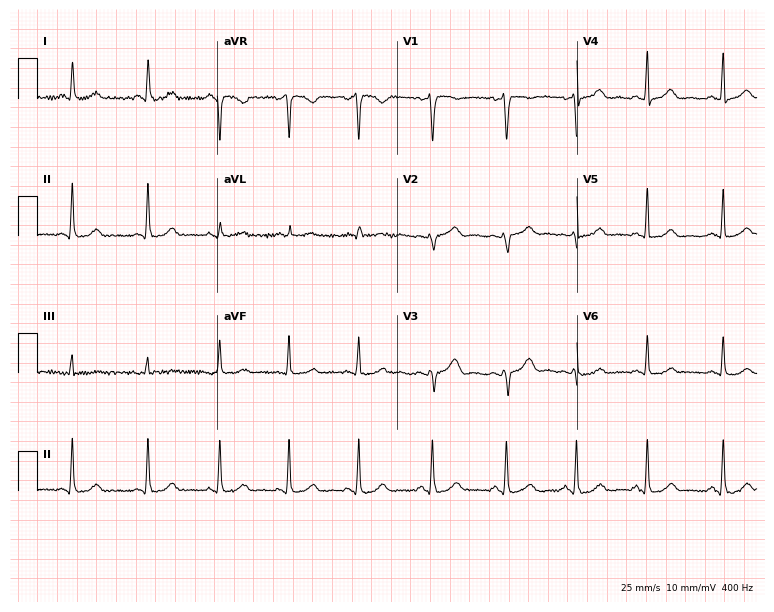
12-lead ECG (7.3-second recording at 400 Hz) from a 40-year-old female patient. Labelled as a normal ECG.